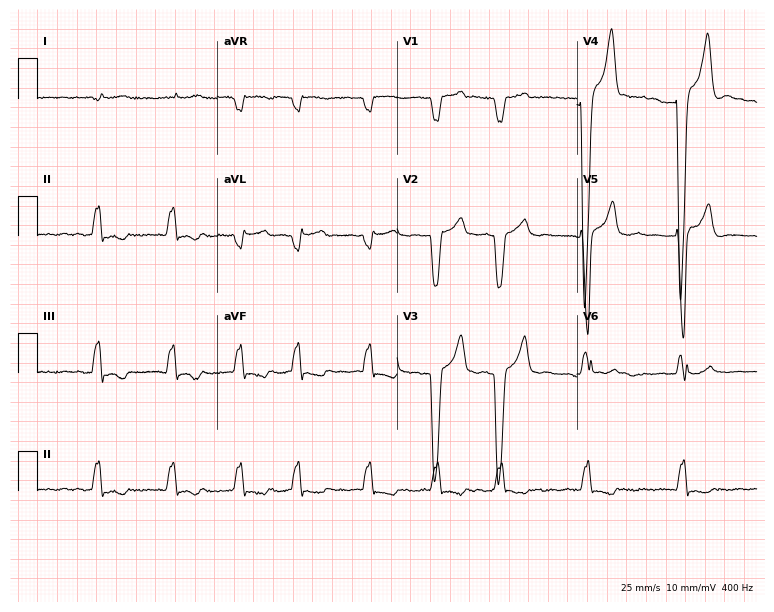
ECG — a 67-year-old male patient. Findings include left bundle branch block, atrial fibrillation.